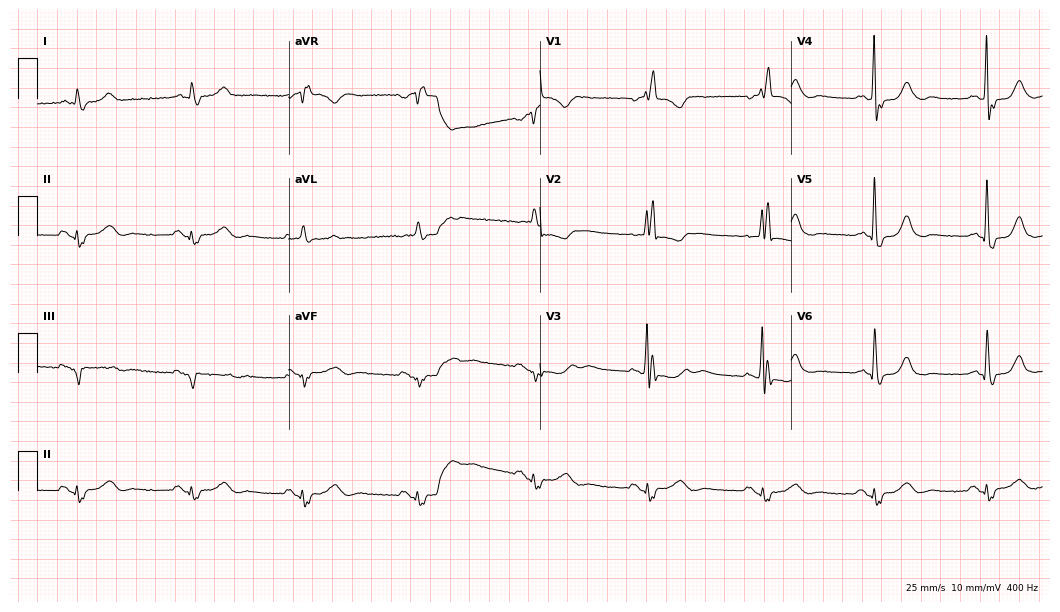
12-lead ECG (10.2-second recording at 400 Hz) from a 74-year-old woman. Screened for six findings — first-degree AV block, right bundle branch block, left bundle branch block, sinus bradycardia, atrial fibrillation, sinus tachycardia — none is recorded.